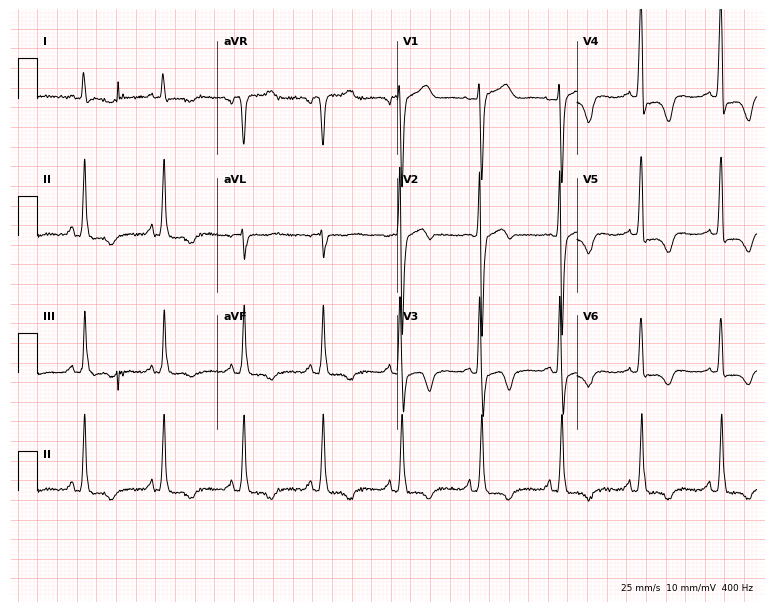
Resting 12-lead electrocardiogram (7.3-second recording at 400 Hz). Patient: a woman, 79 years old. None of these six findings is recorded: first-degree AV block, right bundle branch block (RBBB), left bundle branch block (LBBB), sinus bradycardia, atrial fibrillation (AF), sinus tachycardia. Other findings, if any, are not listed.